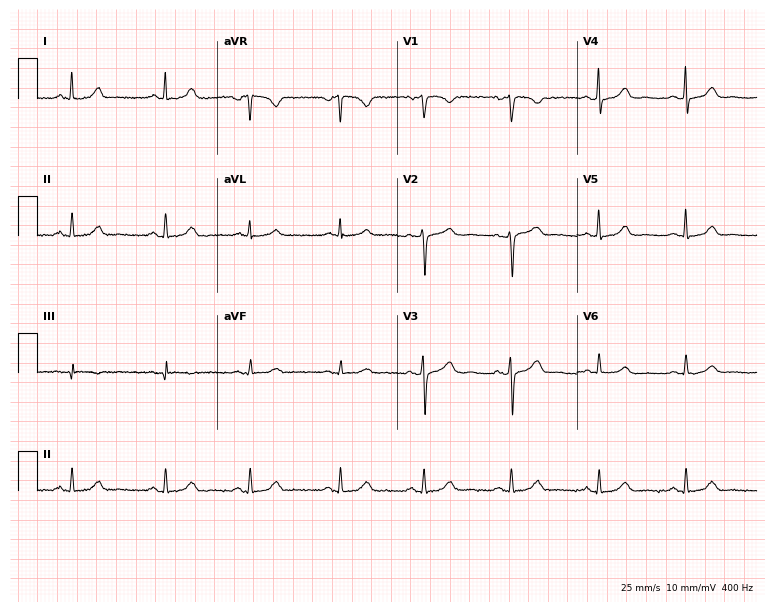
ECG (7.3-second recording at 400 Hz) — a female patient, 48 years old. Screened for six findings — first-degree AV block, right bundle branch block, left bundle branch block, sinus bradycardia, atrial fibrillation, sinus tachycardia — none is recorded.